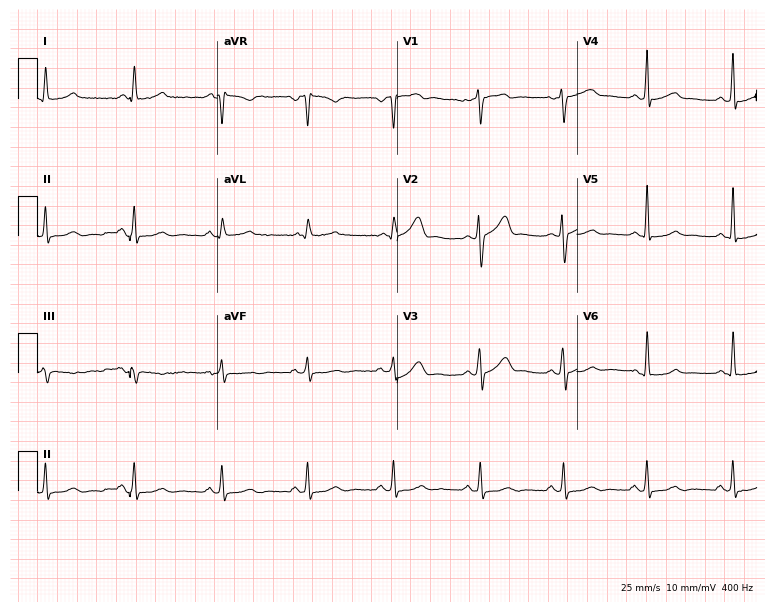
ECG (7.3-second recording at 400 Hz) — a 32-year-old male patient. Screened for six findings — first-degree AV block, right bundle branch block (RBBB), left bundle branch block (LBBB), sinus bradycardia, atrial fibrillation (AF), sinus tachycardia — none is recorded.